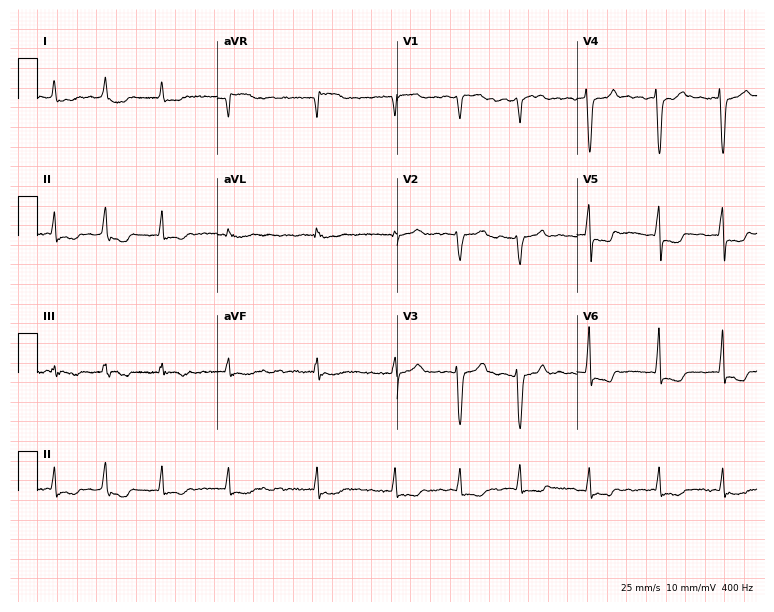
ECG — a 59-year-old woman. Findings include atrial fibrillation (AF).